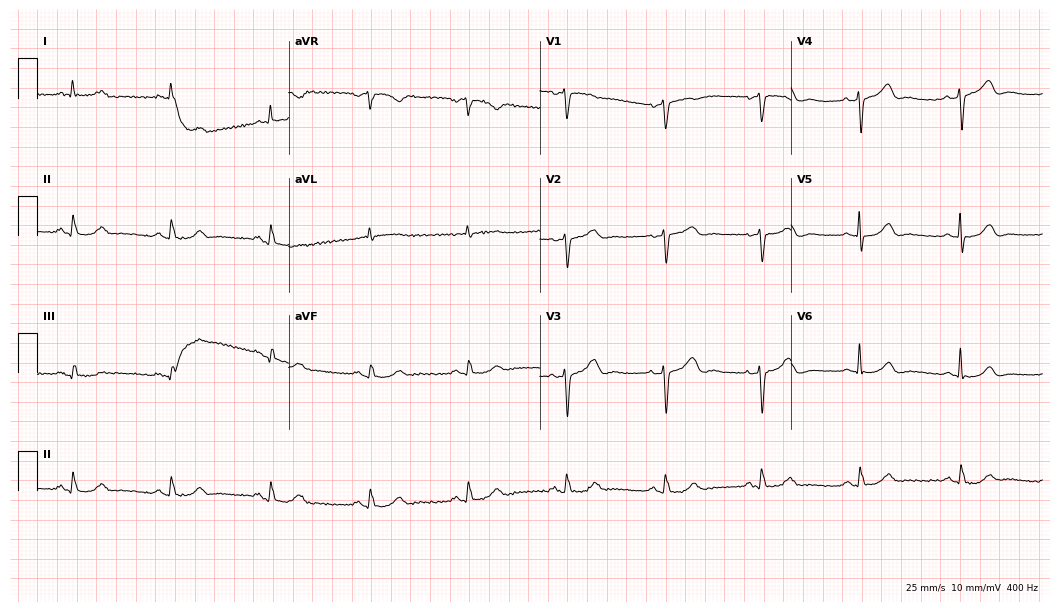
Resting 12-lead electrocardiogram. Patient: a 70-year-old female. Read as a normal ECG.